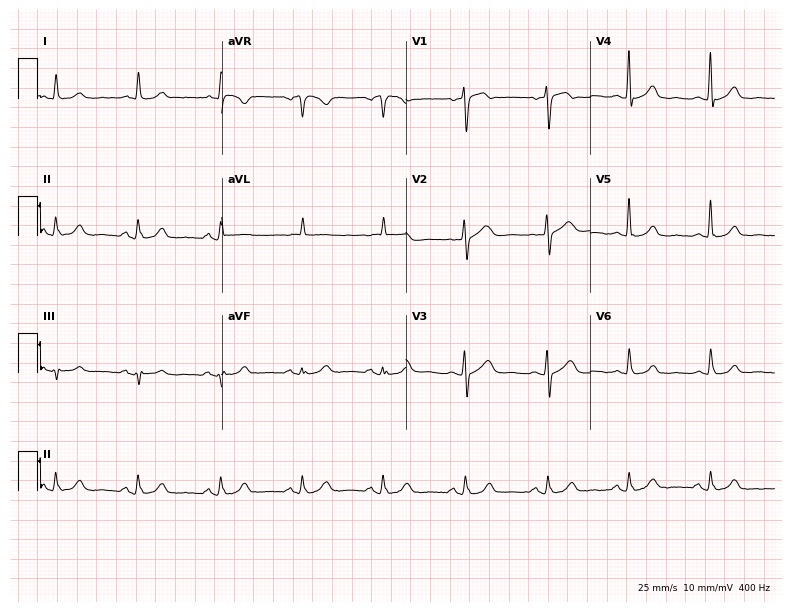
Electrocardiogram, a 76-year-old female patient. Of the six screened findings (first-degree AV block, right bundle branch block, left bundle branch block, sinus bradycardia, atrial fibrillation, sinus tachycardia), none is recorded. Findings outside these six are not listed.